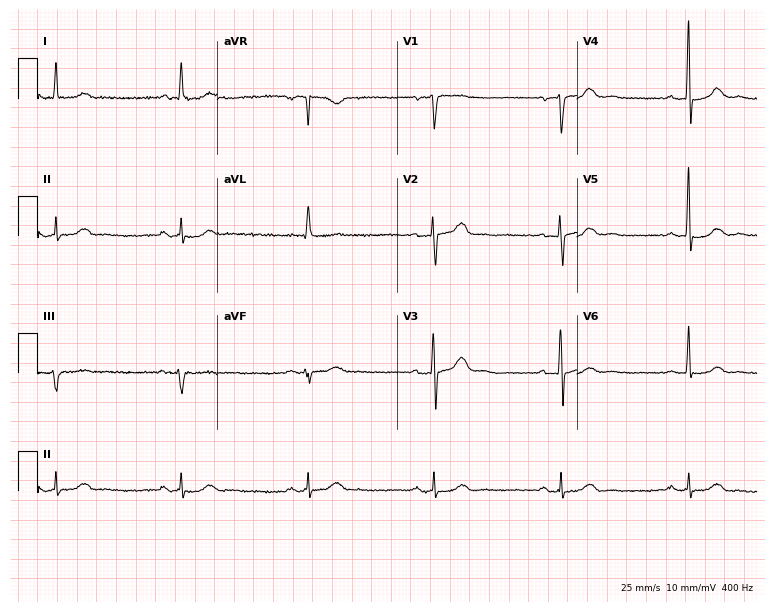
Resting 12-lead electrocardiogram (7.3-second recording at 400 Hz). Patient: an 81-year-old male. The tracing shows sinus bradycardia (a sinus rate of 50 beats per minute or less).